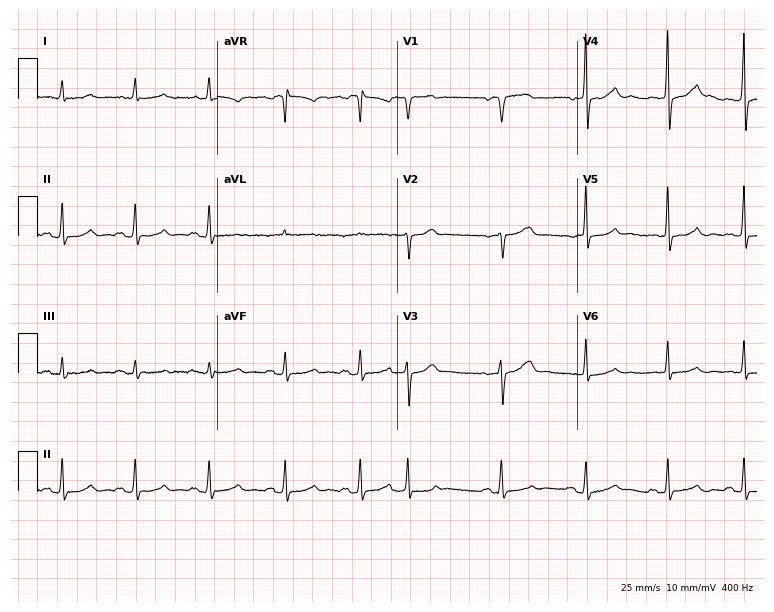
Resting 12-lead electrocardiogram. Patient: a woman, 72 years old. None of these six findings is recorded: first-degree AV block, right bundle branch block, left bundle branch block, sinus bradycardia, atrial fibrillation, sinus tachycardia.